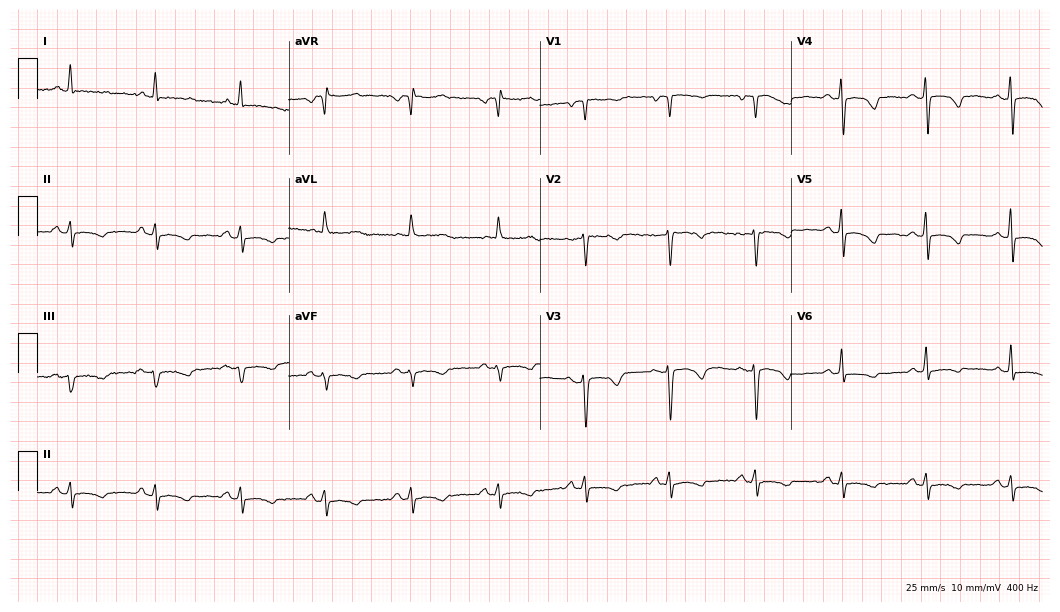
Resting 12-lead electrocardiogram (10.2-second recording at 400 Hz). Patient: a female, 52 years old. Read as a normal ECG.